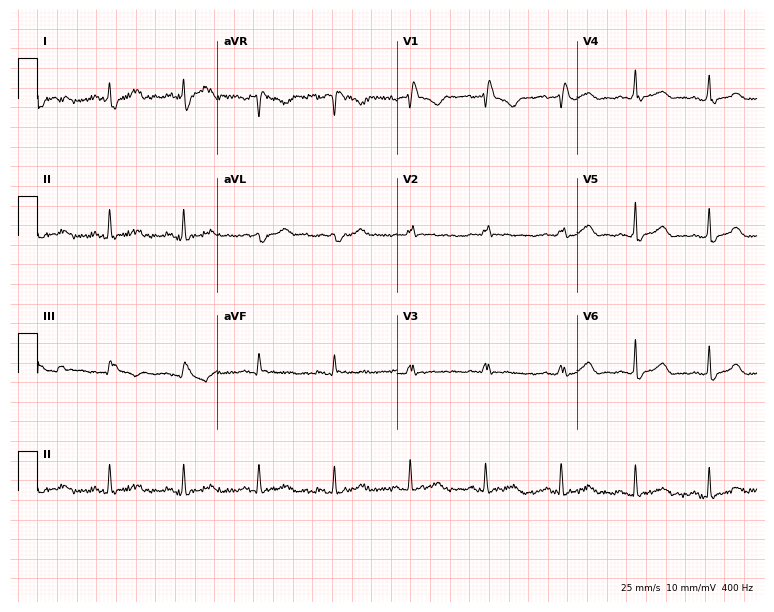
Resting 12-lead electrocardiogram (7.3-second recording at 400 Hz). Patient: a female, 64 years old. The tracing shows right bundle branch block.